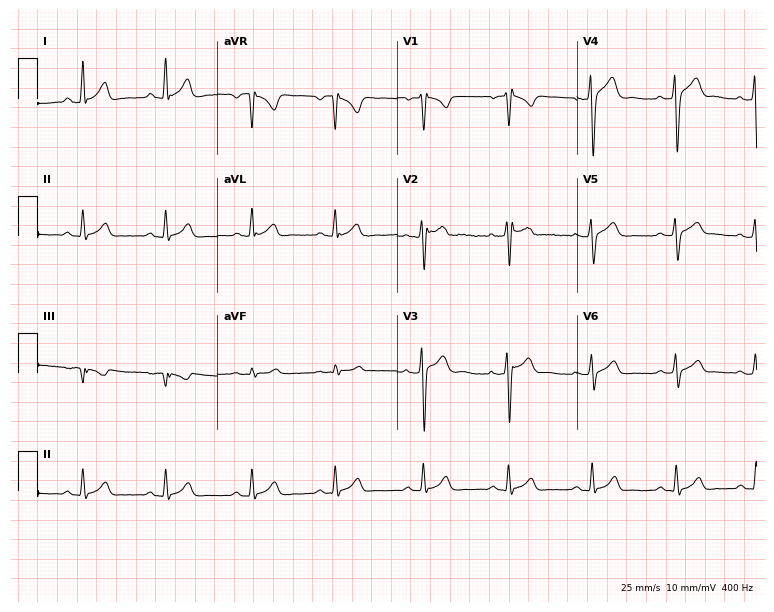
Resting 12-lead electrocardiogram. Patient: a 24-year-old man. None of these six findings is recorded: first-degree AV block, right bundle branch block, left bundle branch block, sinus bradycardia, atrial fibrillation, sinus tachycardia.